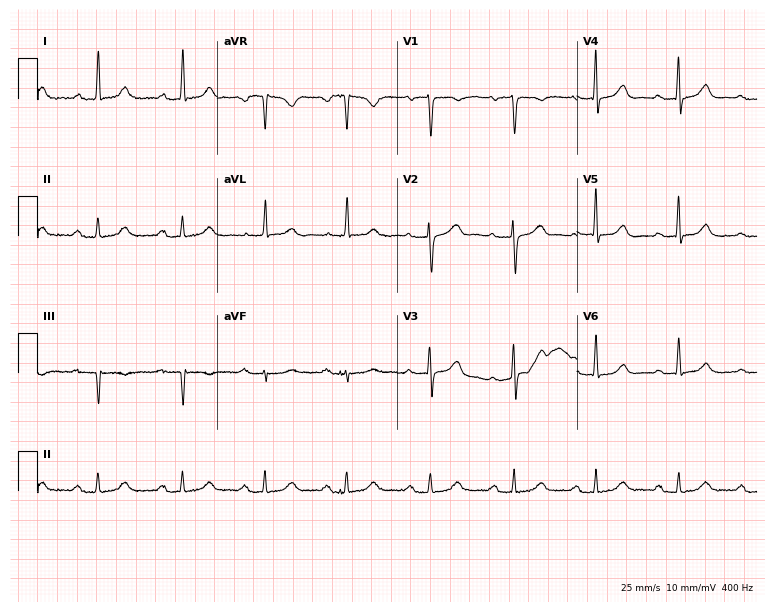
ECG (7.3-second recording at 400 Hz) — a 56-year-old woman. Screened for six findings — first-degree AV block, right bundle branch block, left bundle branch block, sinus bradycardia, atrial fibrillation, sinus tachycardia — none is recorded. Other findings, if any, are not listed.